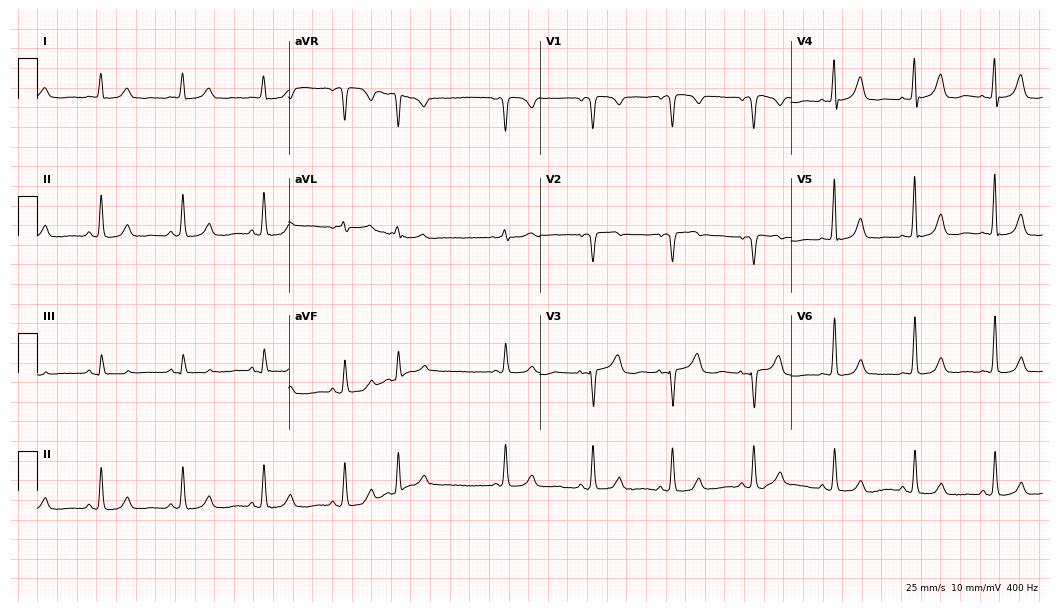
Resting 12-lead electrocardiogram (10.2-second recording at 400 Hz). Patient: a female, 84 years old. None of these six findings is recorded: first-degree AV block, right bundle branch block, left bundle branch block, sinus bradycardia, atrial fibrillation, sinus tachycardia. Findings outside these six are not listed.